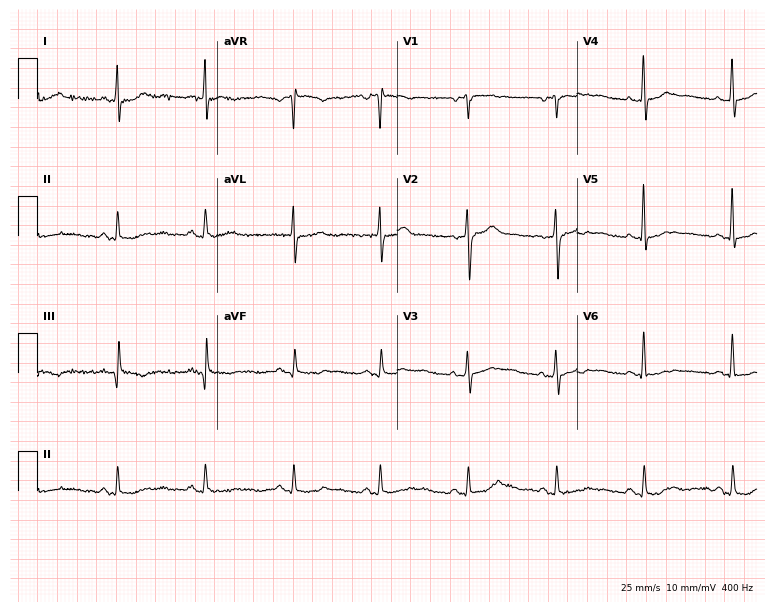
Resting 12-lead electrocardiogram. Patient: a female, 48 years old. None of these six findings is recorded: first-degree AV block, right bundle branch block (RBBB), left bundle branch block (LBBB), sinus bradycardia, atrial fibrillation (AF), sinus tachycardia. Findings outside these six are not listed.